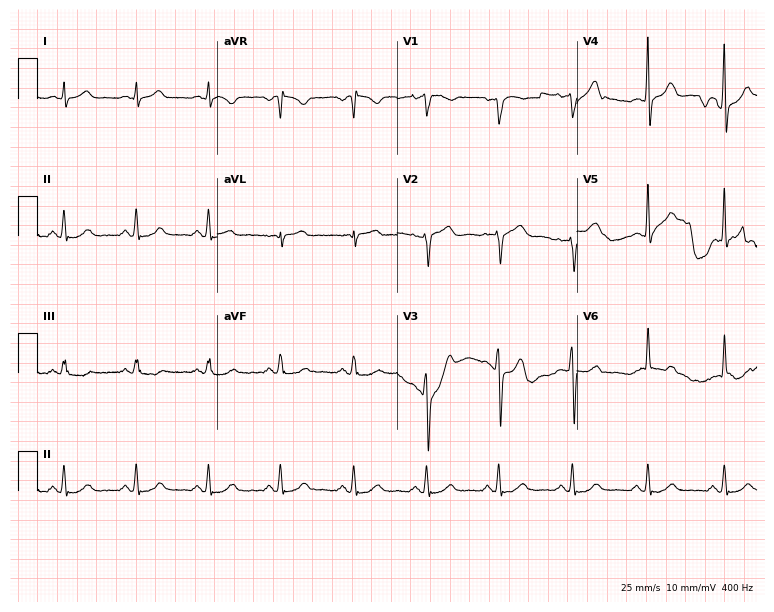
Resting 12-lead electrocardiogram. Patient: a 60-year-old man. None of these six findings is recorded: first-degree AV block, right bundle branch block, left bundle branch block, sinus bradycardia, atrial fibrillation, sinus tachycardia. Only these six findings were labelled.